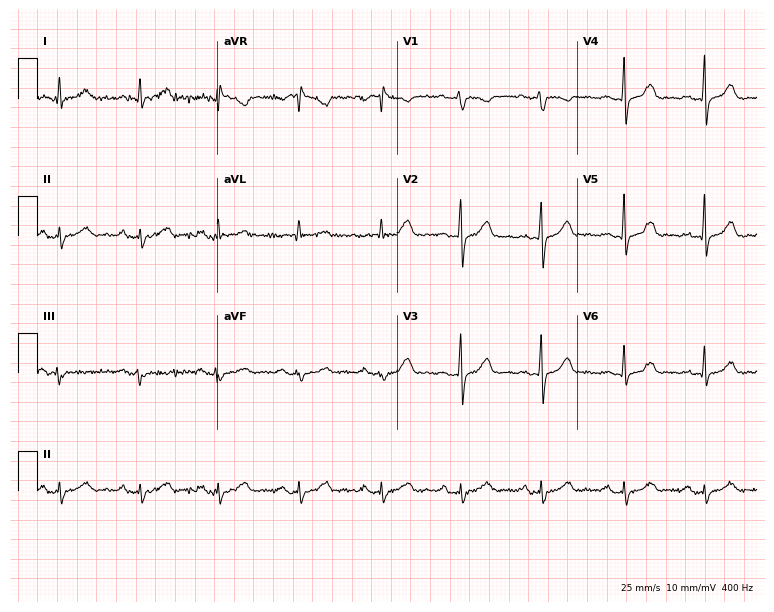
12-lead ECG from a female, 45 years old. Screened for six findings — first-degree AV block, right bundle branch block (RBBB), left bundle branch block (LBBB), sinus bradycardia, atrial fibrillation (AF), sinus tachycardia — none is recorded. Findings outside these six are not listed.